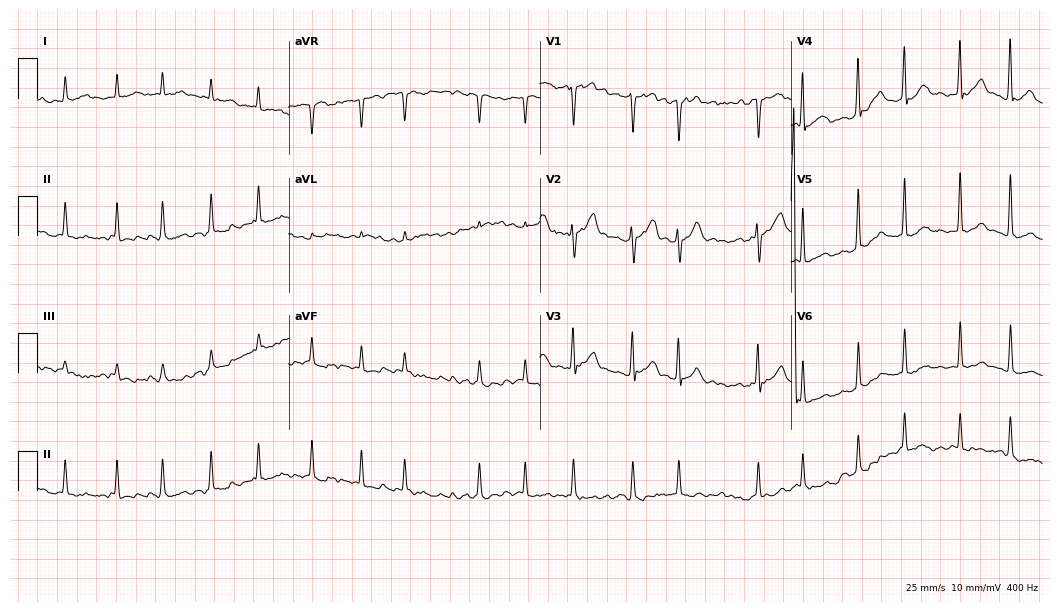
12-lead ECG from a 56-year-old man (10.2-second recording at 400 Hz). No first-degree AV block, right bundle branch block, left bundle branch block, sinus bradycardia, atrial fibrillation or sinus tachycardia recorded for this tracing.